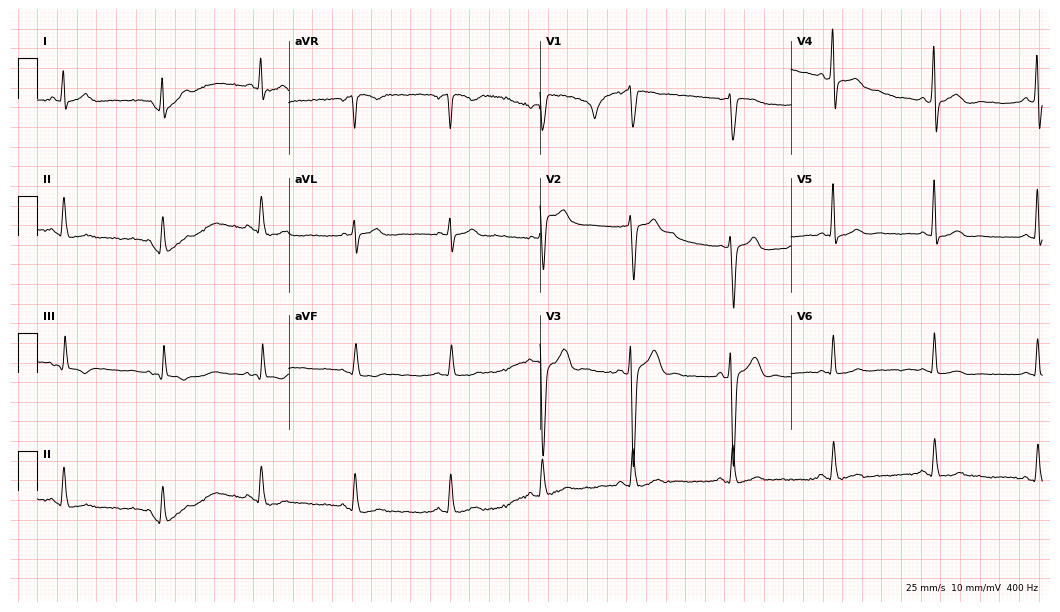
Standard 12-lead ECG recorded from a 43-year-old male patient (10.2-second recording at 400 Hz). None of these six findings is recorded: first-degree AV block, right bundle branch block (RBBB), left bundle branch block (LBBB), sinus bradycardia, atrial fibrillation (AF), sinus tachycardia.